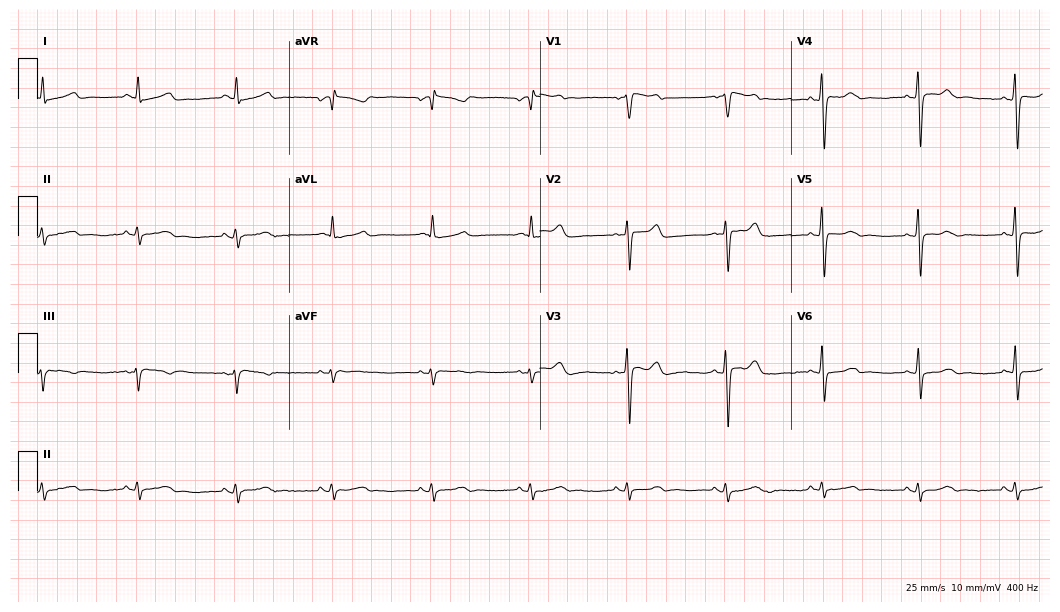
12-lead ECG from a 68-year-old man. No first-degree AV block, right bundle branch block (RBBB), left bundle branch block (LBBB), sinus bradycardia, atrial fibrillation (AF) or sinus tachycardia recorded for this tracing. Only these six findings were labelled.